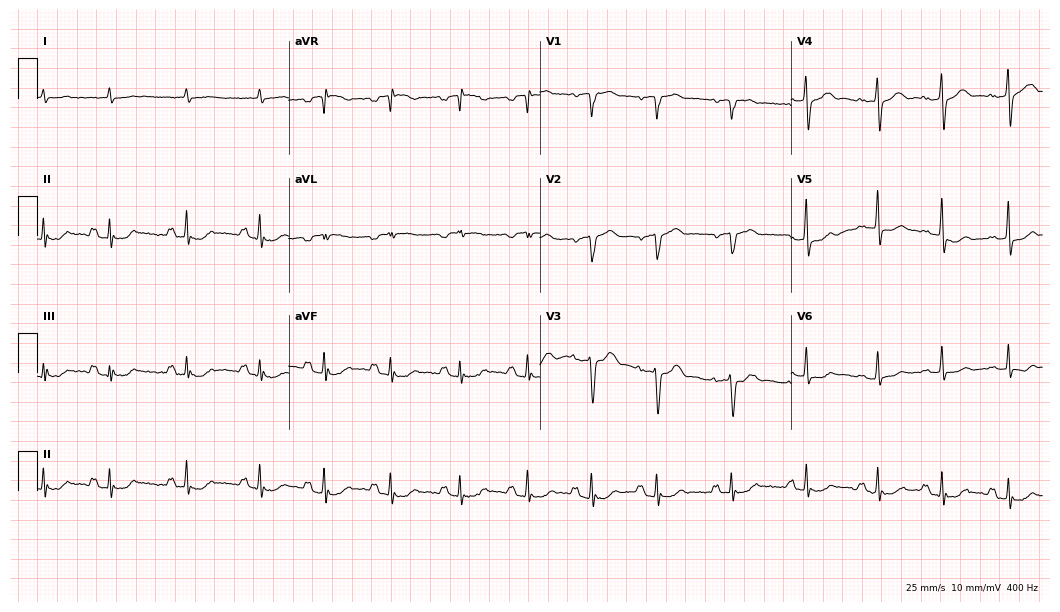
12-lead ECG from a man, 79 years old. Labelled as a normal ECG.